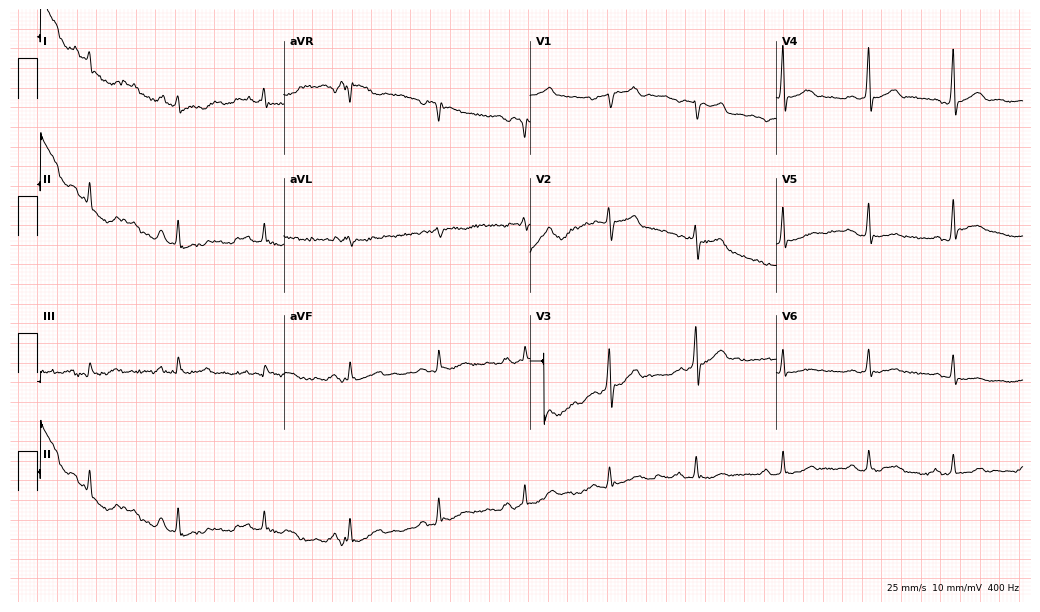
Resting 12-lead electrocardiogram. Patient: a male, 58 years old. None of these six findings is recorded: first-degree AV block, right bundle branch block, left bundle branch block, sinus bradycardia, atrial fibrillation, sinus tachycardia. Only these six findings were labelled.